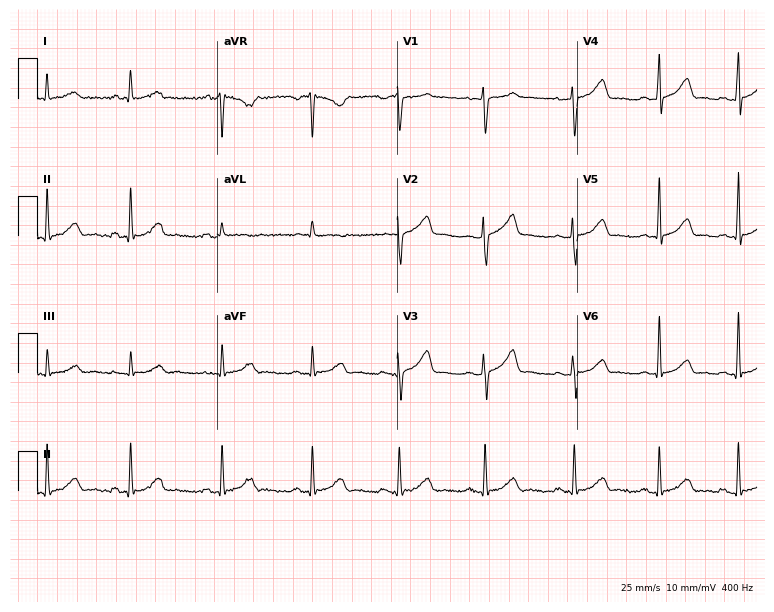
Resting 12-lead electrocardiogram (7.3-second recording at 400 Hz). Patient: a female, 41 years old. None of these six findings is recorded: first-degree AV block, right bundle branch block, left bundle branch block, sinus bradycardia, atrial fibrillation, sinus tachycardia.